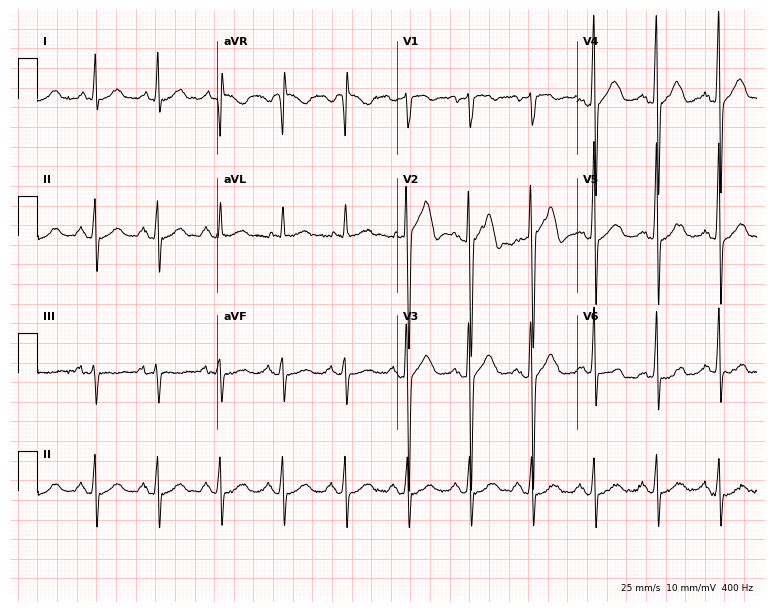
Standard 12-lead ECG recorded from a 51-year-old man. None of these six findings is recorded: first-degree AV block, right bundle branch block (RBBB), left bundle branch block (LBBB), sinus bradycardia, atrial fibrillation (AF), sinus tachycardia. Other findings, if any, are not listed.